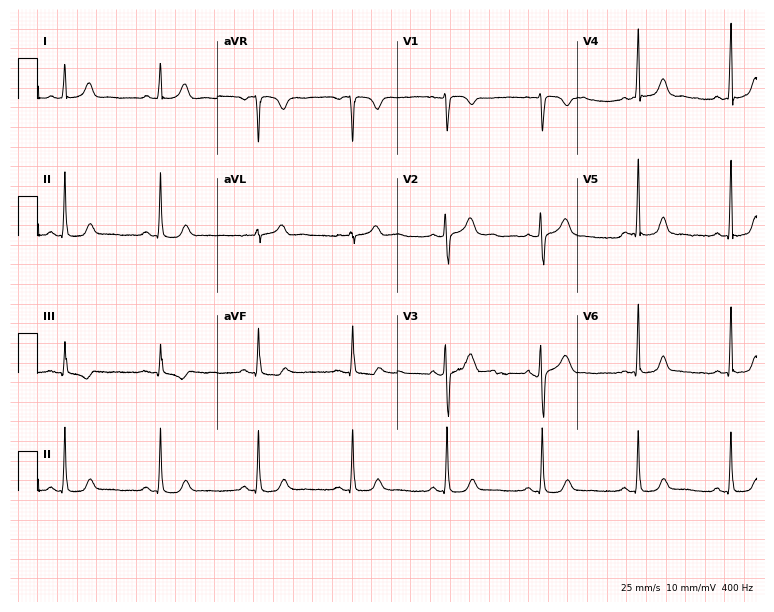
12-lead ECG from a 36-year-old female. Labelled as a normal ECG.